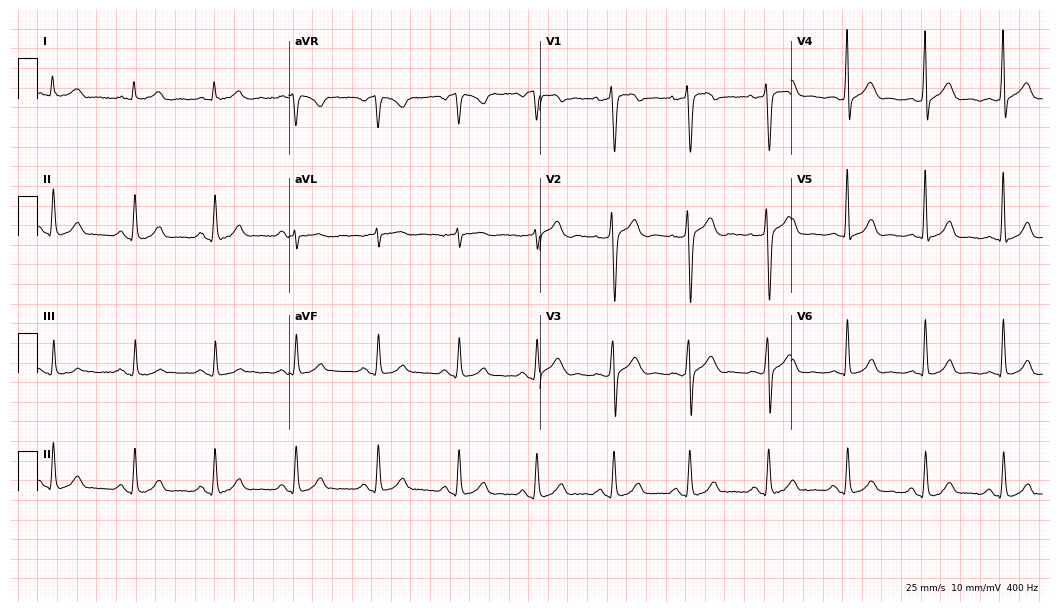
12-lead ECG from a male patient, 48 years old. No first-degree AV block, right bundle branch block (RBBB), left bundle branch block (LBBB), sinus bradycardia, atrial fibrillation (AF) or sinus tachycardia recorded for this tracing.